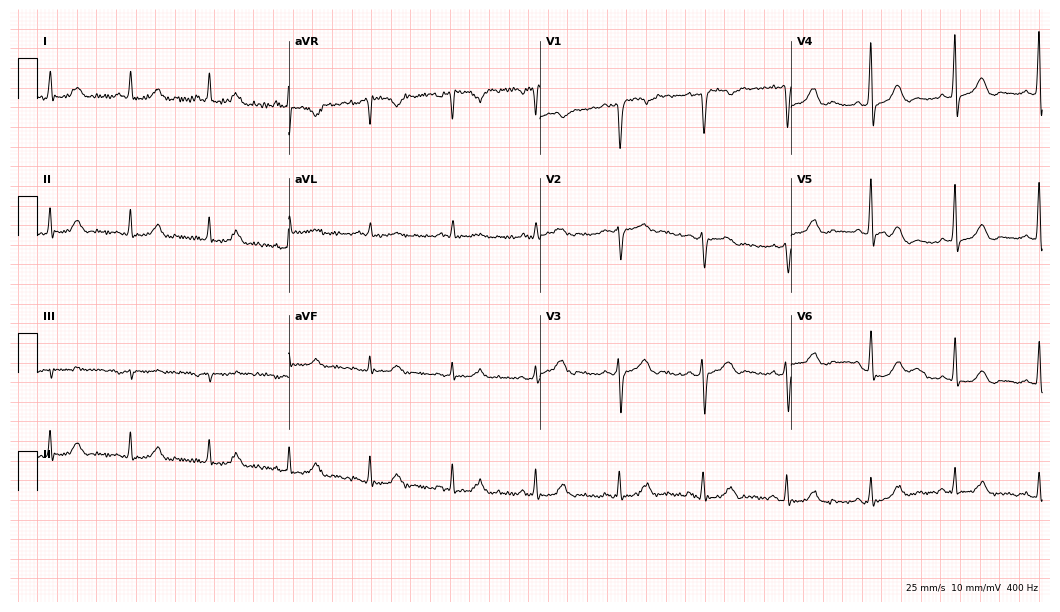
12-lead ECG from a male, 66 years old (10.2-second recording at 400 Hz). No first-degree AV block, right bundle branch block (RBBB), left bundle branch block (LBBB), sinus bradycardia, atrial fibrillation (AF) or sinus tachycardia recorded for this tracing. Other findings, if any, are not listed.